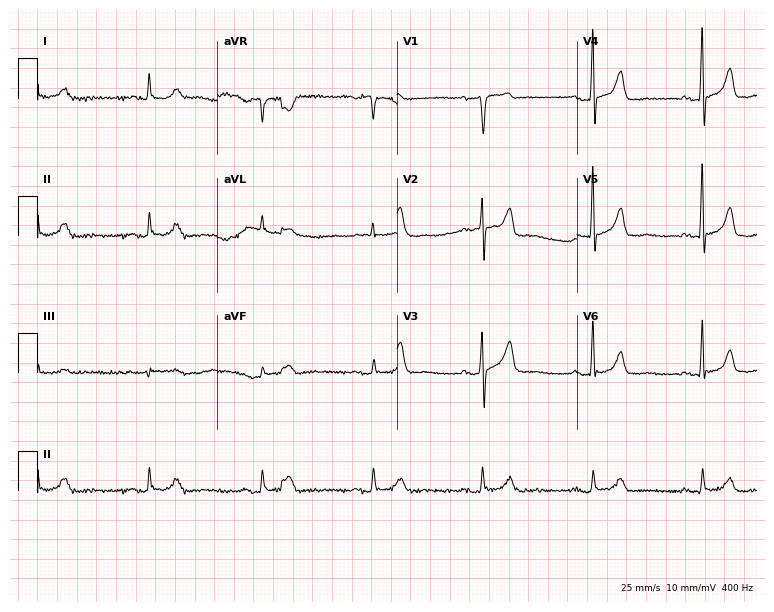
Electrocardiogram (7.3-second recording at 400 Hz), a male patient, 67 years old. Overall reading on record: normal ECG.